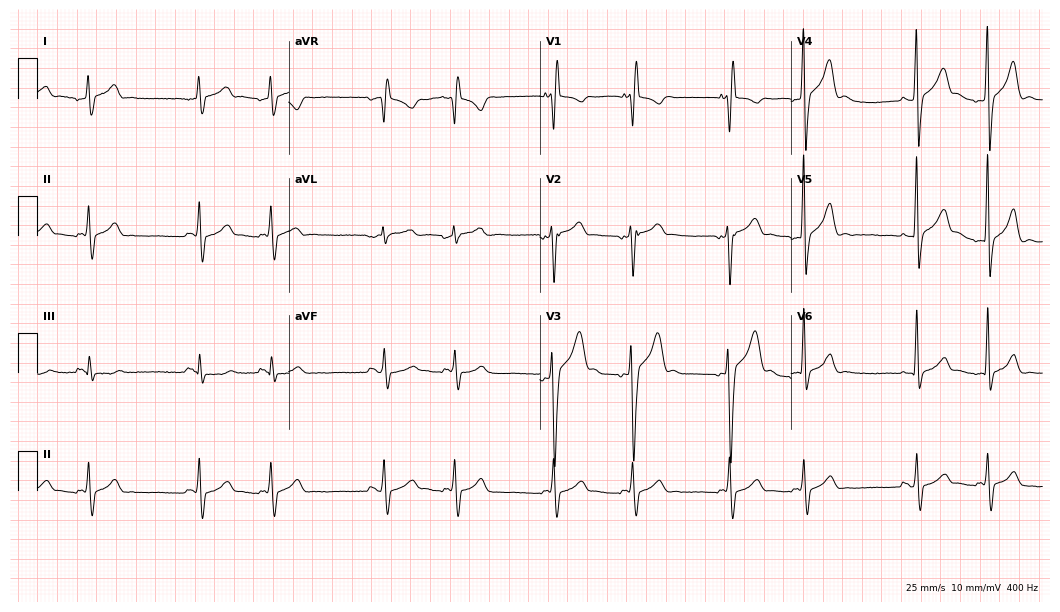
ECG (10.2-second recording at 400 Hz) — a man, 17 years old. Findings include right bundle branch block.